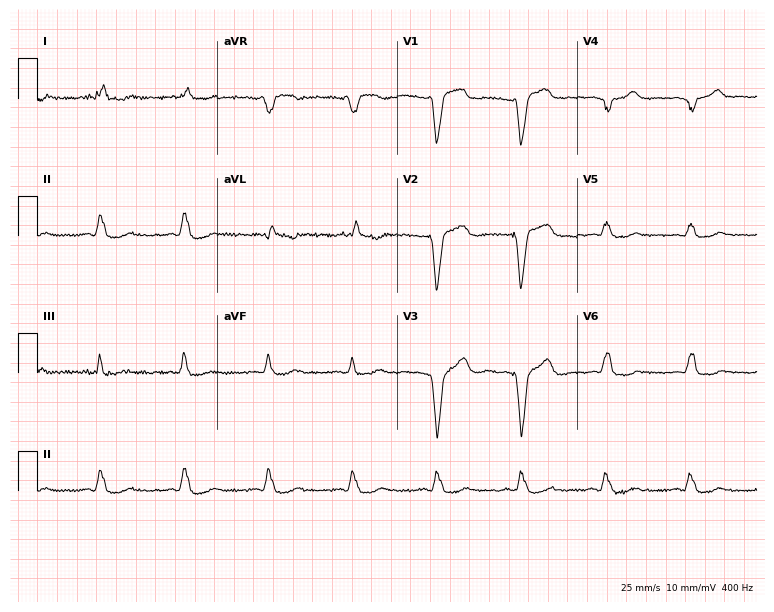
12-lead ECG from a female, 61 years old. No first-degree AV block, right bundle branch block (RBBB), left bundle branch block (LBBB), sinus bradycardia, atrial fibrillation (AF) or sinus tachycardia recorded for this tracing. Only these six findings were labelled.